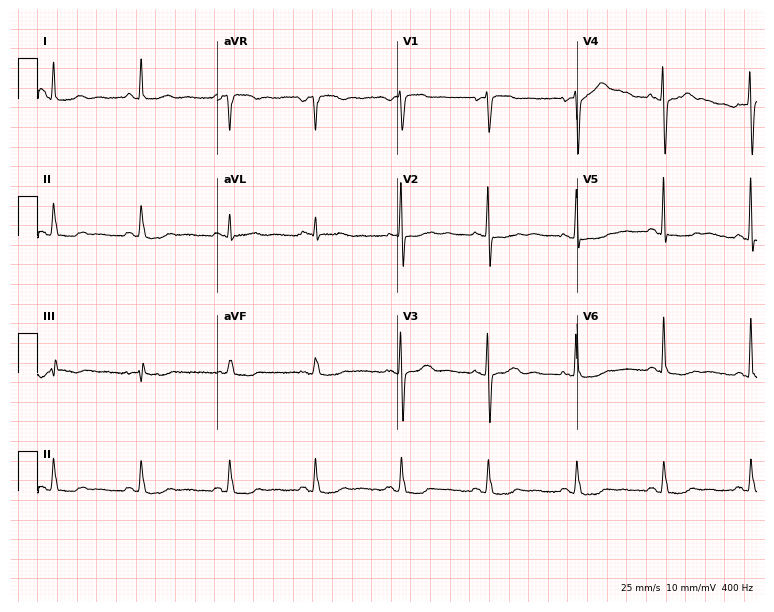
12-lead ECG (7.3-second recording at 400 Hz) from a 58-year-old woman. Screened for six findings — first-degree AV block, right bundle branch block (RBBB), left bundle branch block (LBBB), sinus bradycardia, atrial fibrillation (AF), sinus tachycardia — none is recorded. Other findings, if any, are not listed.